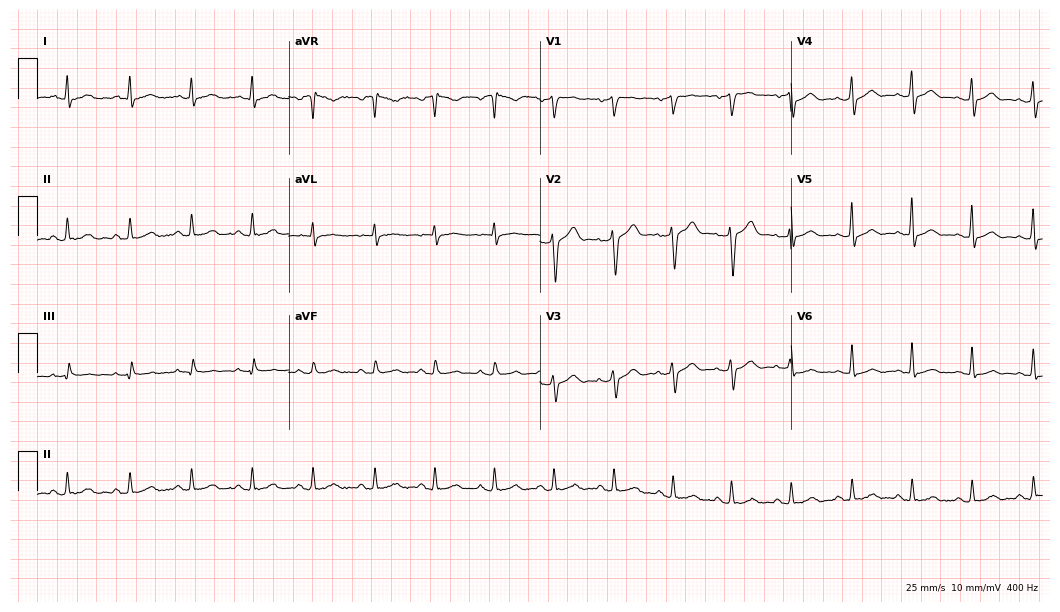
Resting 12-lead electrocardiogram. Patient: a male, 45 years old. Read as a normal ECG.